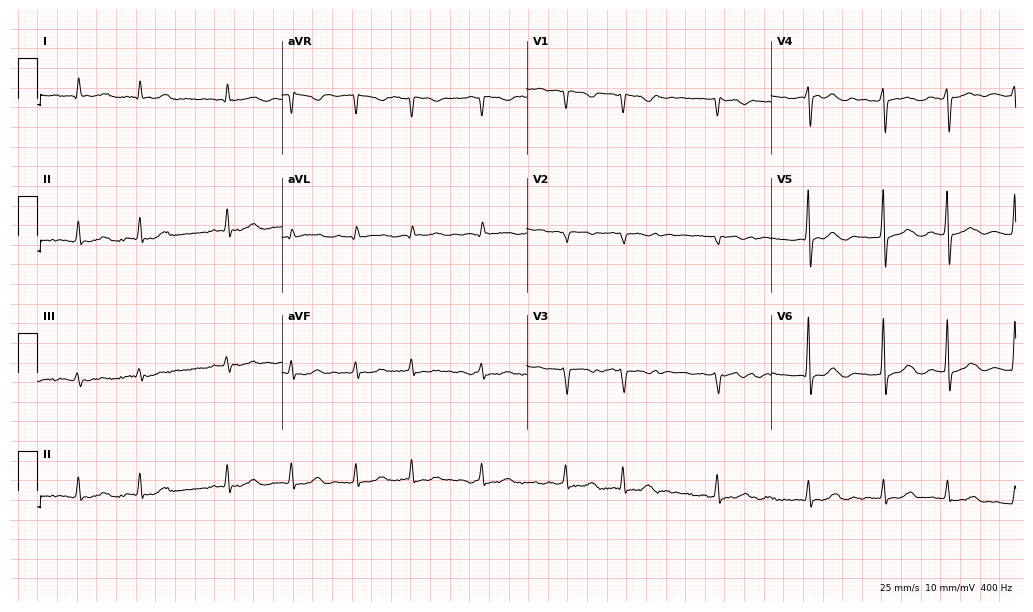
12-lead ECG from a female, 83 years old. Findings include atrial fibrillation.